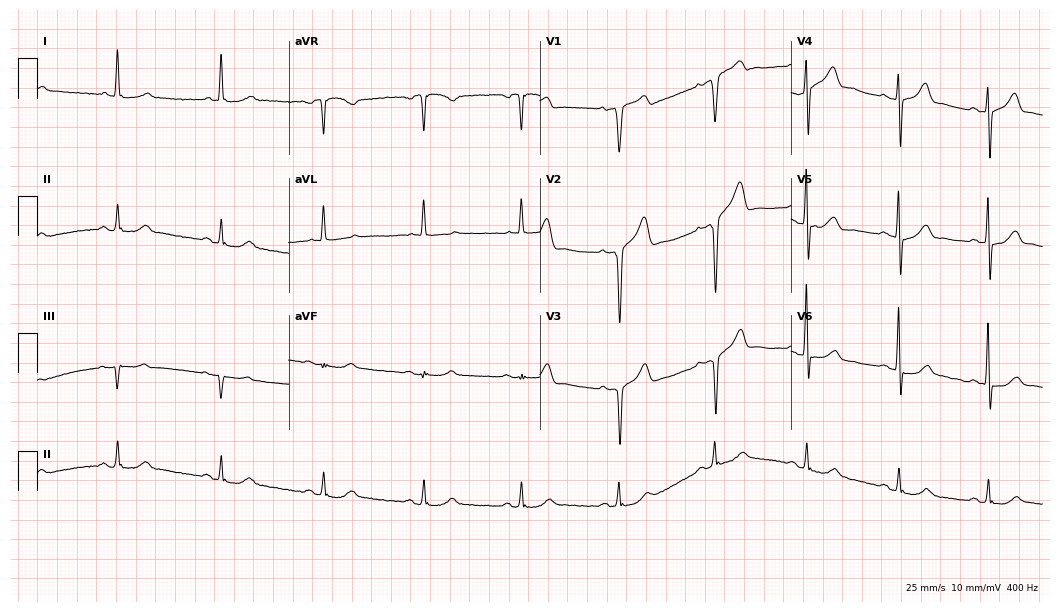
12-lead ECG from a 76-year-old man (10.2-second recording at 400 Hz). No first-degree AV block, right bundle branch block, left bundle branch block, sinus bradycardia, atrial fibrillation or sinus tachycardia recorded for this tracing.